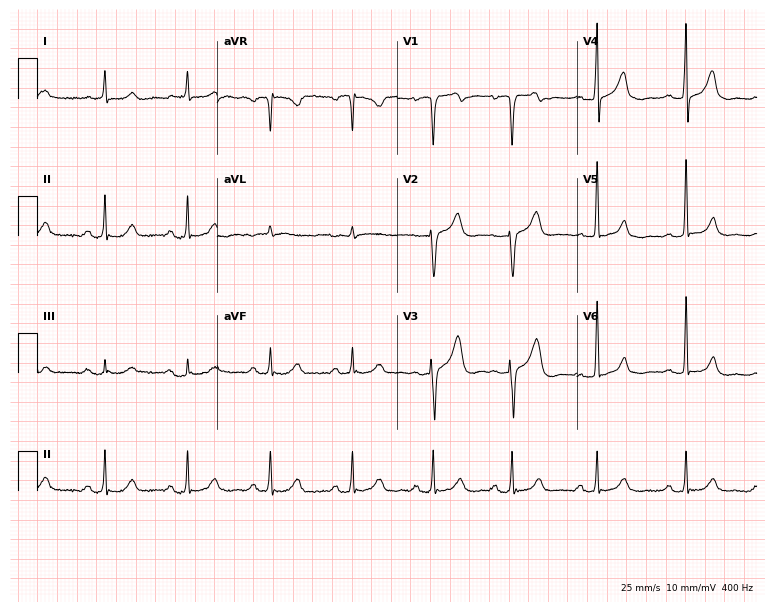
12-lead ECG from a man, 64 years old (7.3-second recording at 400 Hz). Recorded interpretation: within normal limits.